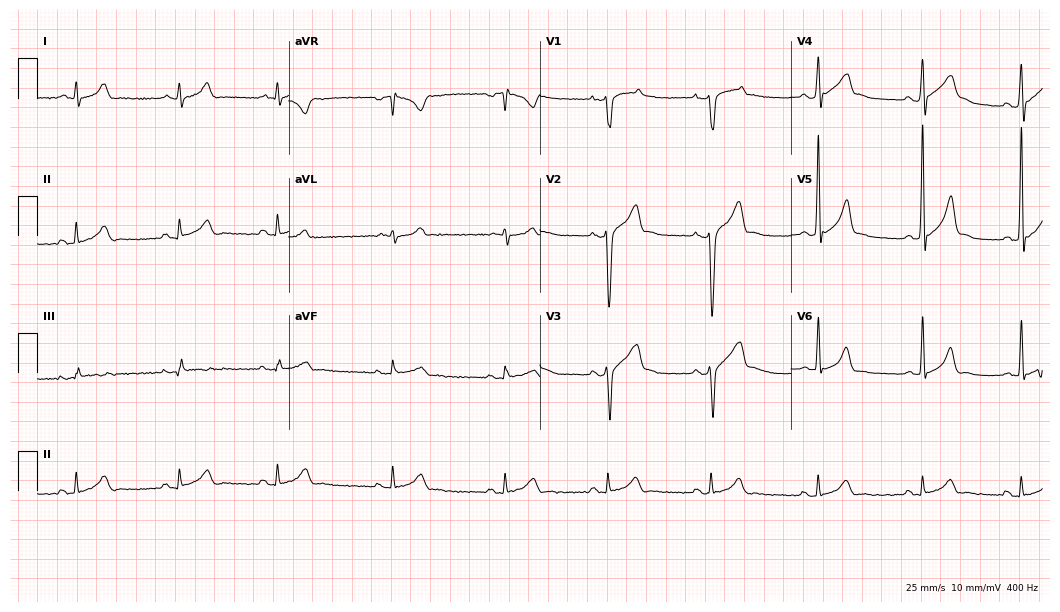
12-lead ECG from a 25-year-old man. Recorded interpretation: within normal limits.